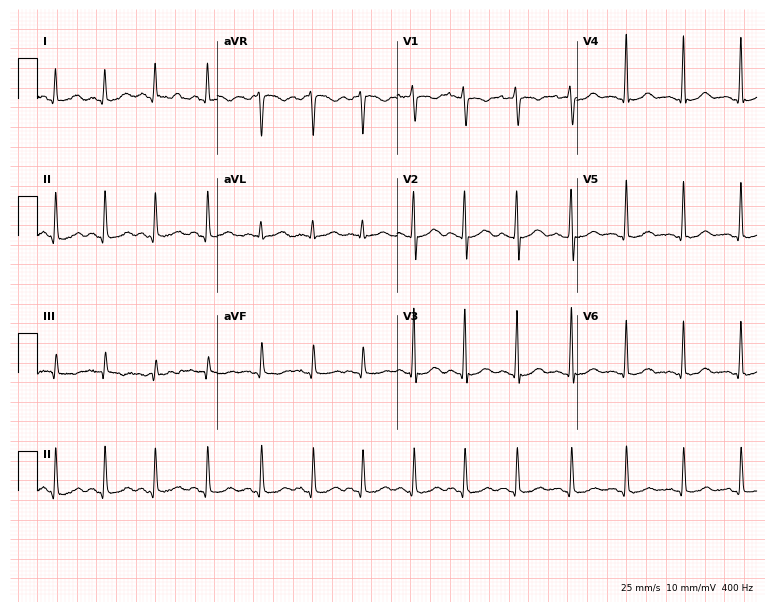
12-lead ECG from a female, 28 years old. No first-degree AV block, right bundle branch block (RBBB), left bundle branch block (LBBB), sinus bradycardia, atrial fibrillation (AF) or sinus tachycardia recorded for this tracing. Findings outside these six are not listed.